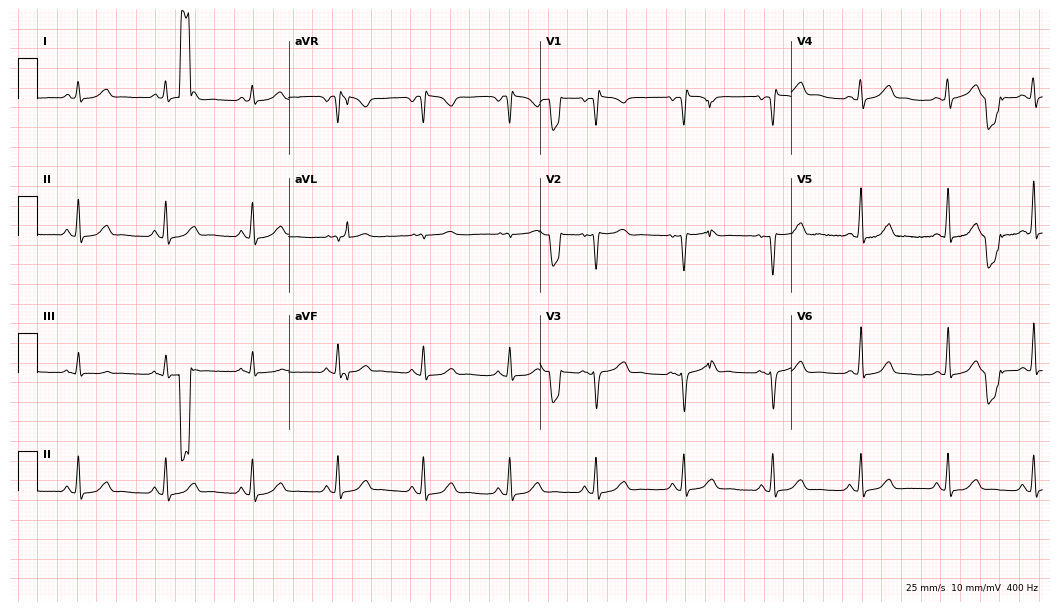
ECG — a 52-year-old female. Labelled as a normal ECG.